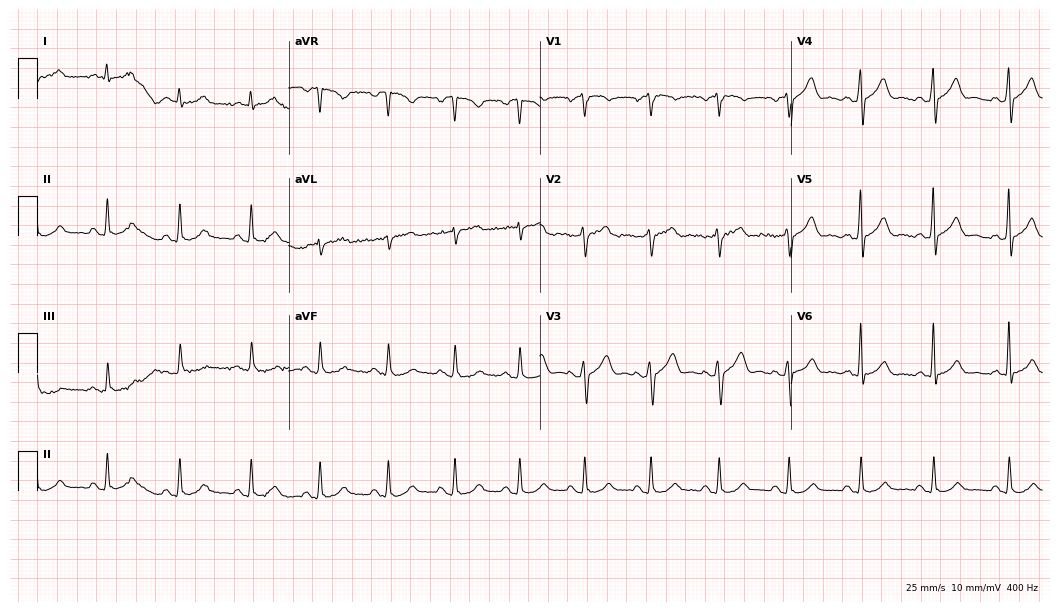
Electrocardiogram, a 55-year-old man. Of the six screened findings (first-degree AV block, right bundle branch block (RBBB), left bundle branch block (LBBB), sinus bradycardia, atrial fibrillation (AF), sinus tachycardia), none is recorded. Other findings, if any, are not listed.